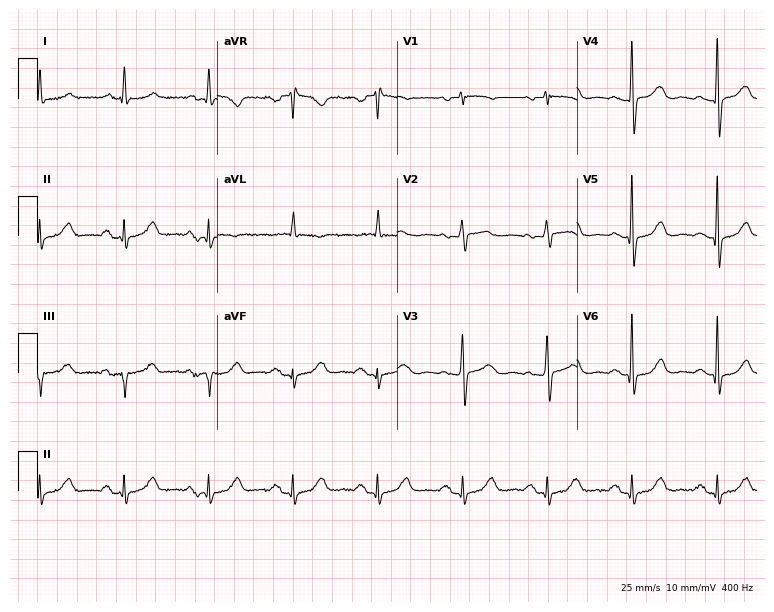
Standard 12-lead ECG recorded from an 85-year-old woman (7.3-second recording at 400 Hz). Read as a normal ECG.